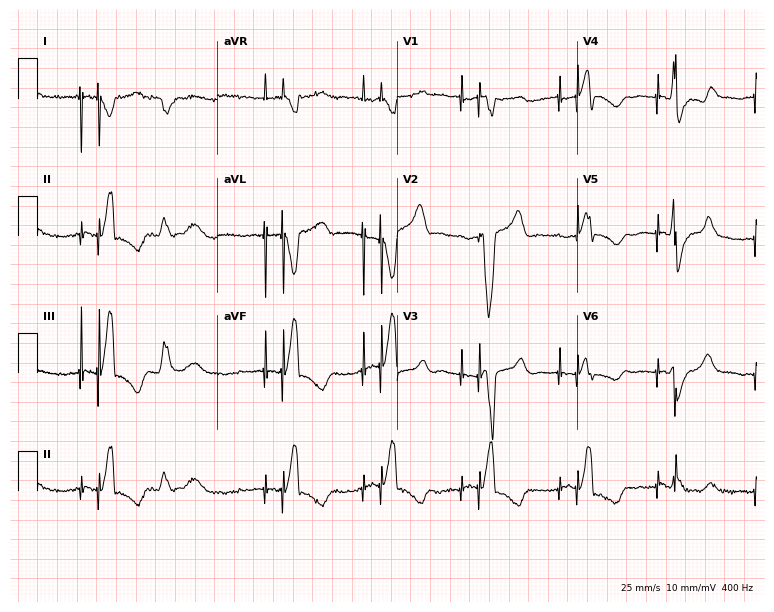
12-lead ECG (7.3-second recording at 400 Hz) from a male, 73 years old. Screened for six findings — first-degree AV block, right bundle branch block, left bundle branch block, sinus bradycardia, atrial fibrillation, sinus tachycardia — none is recorded.